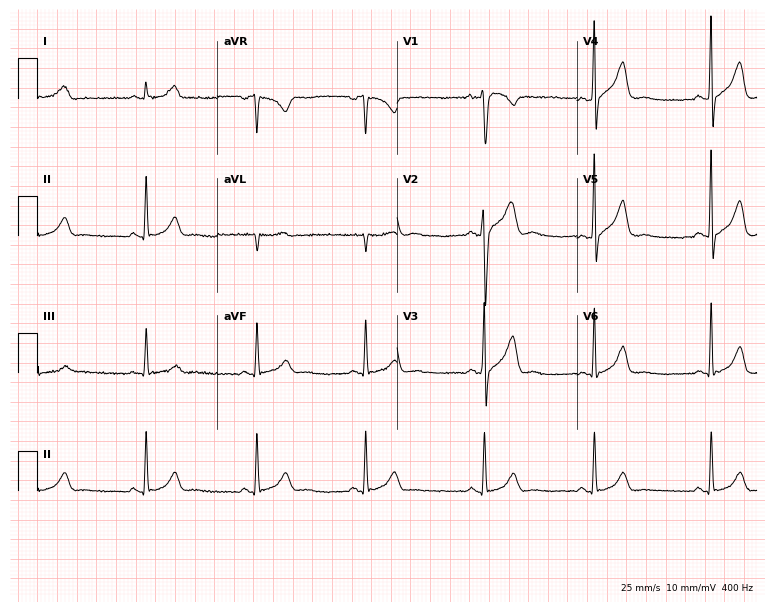
Electrocardiogram, a male, 44 years old. Overall reading on record: normal ECG.